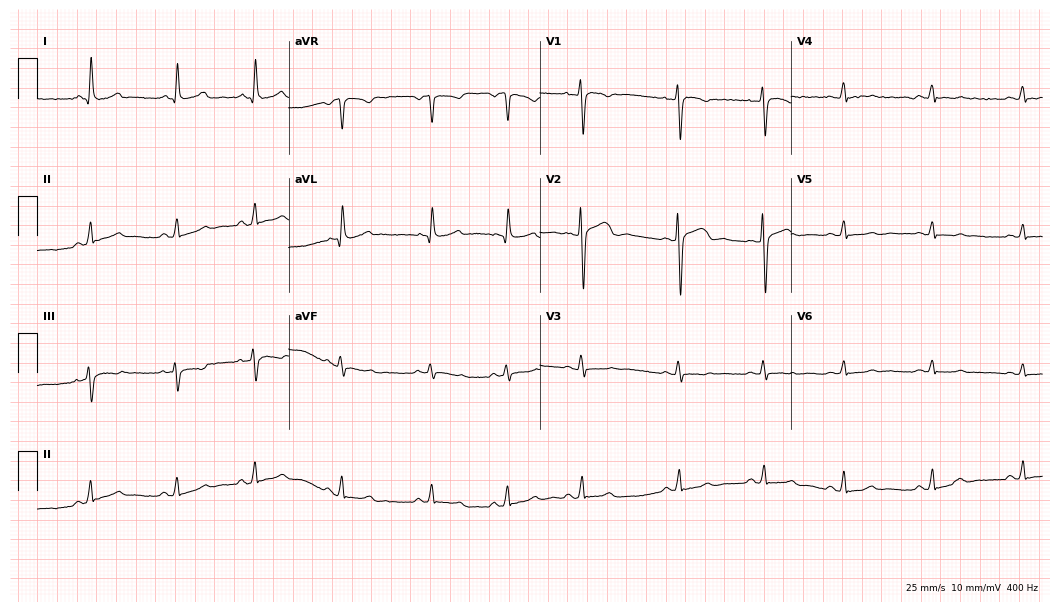
12-lead ECG (10.2-second recording at 400 Hz) from a 22-year-old female. Labelled as a normal ECG.